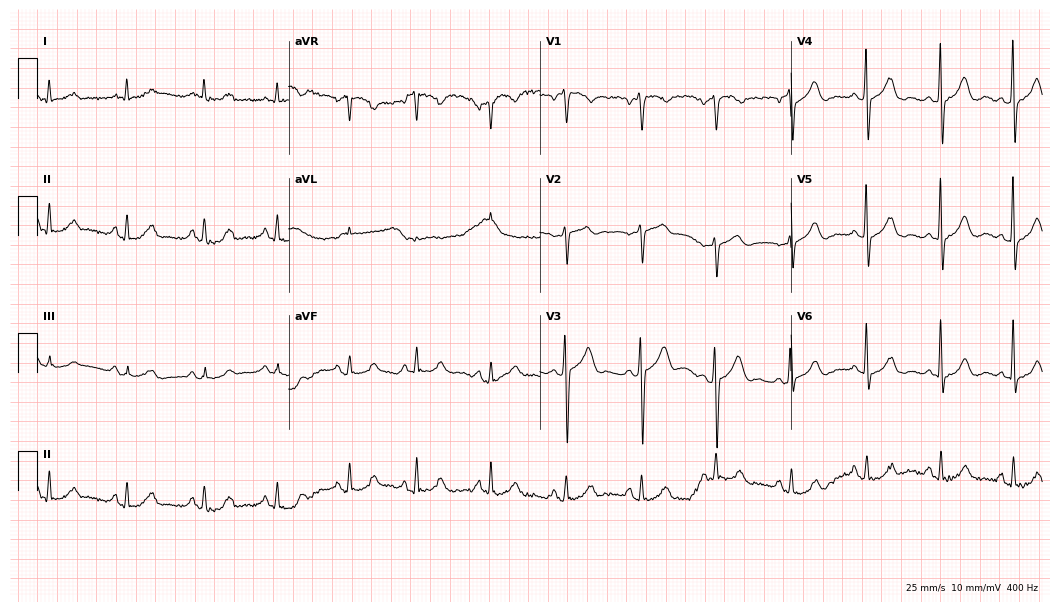
Resting 12-lead electrocardiogram (10.2-second recording at 400 Hz). Patient: a male, 68 years old. Read as a normal ECG.